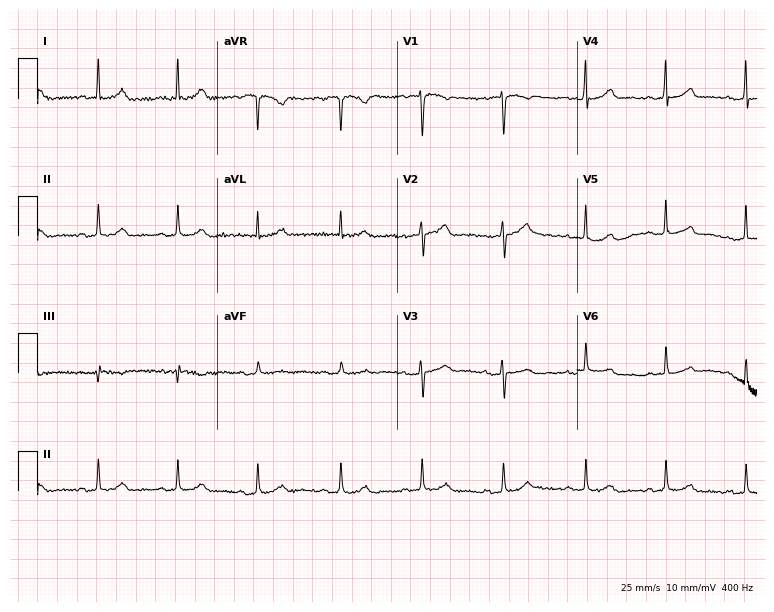
ECG — a 56-year-old woman. Labelled as a normal ECG.